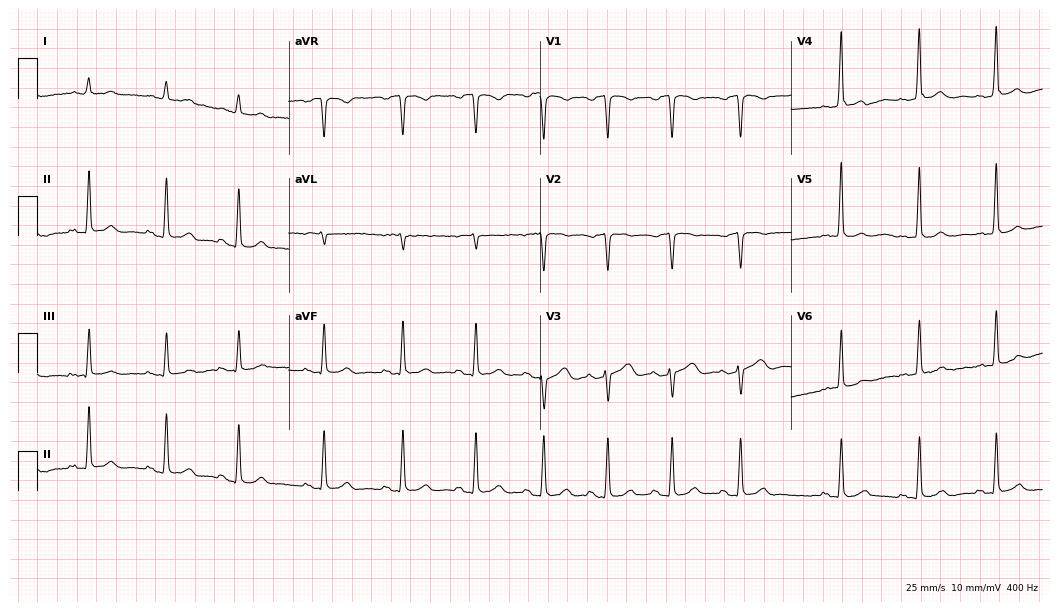
12-lead ECG (10.2-second recording at 400 Hz) from a 62-year-old male. Labelled as a normal ECG.